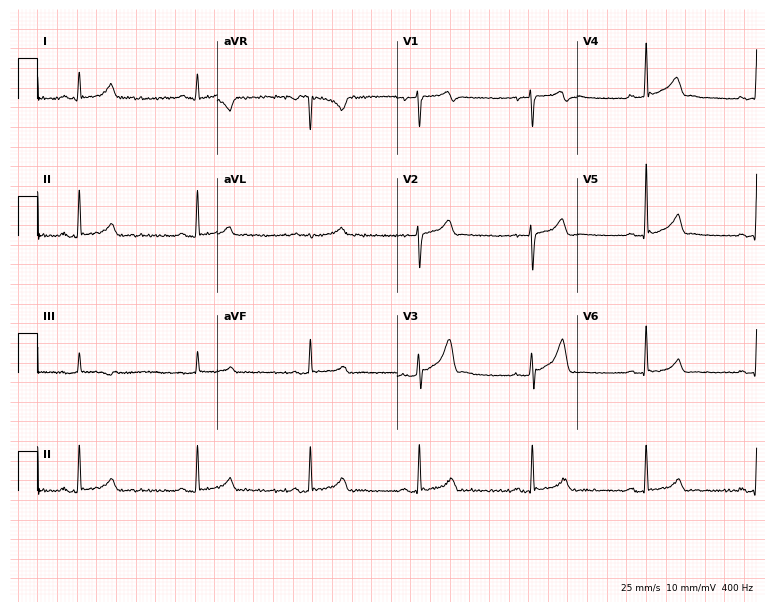
Standard 12-lead ECG recorded from a male patient, 37 years old. None of these six findings is recorded: first-degree AV block, right bundle branch block (RBBB), left bundle branch block (LBBB), sinus bradycardia, atrial fibrillation (AF), sinus tachycardia.